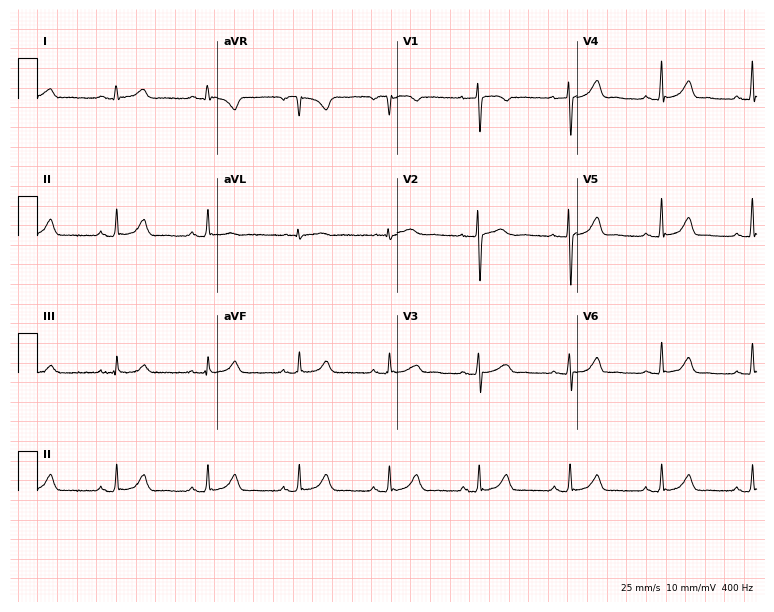
Standard 12-lead ECG recorded from a 50-year-old female. Read as a normal ECG.